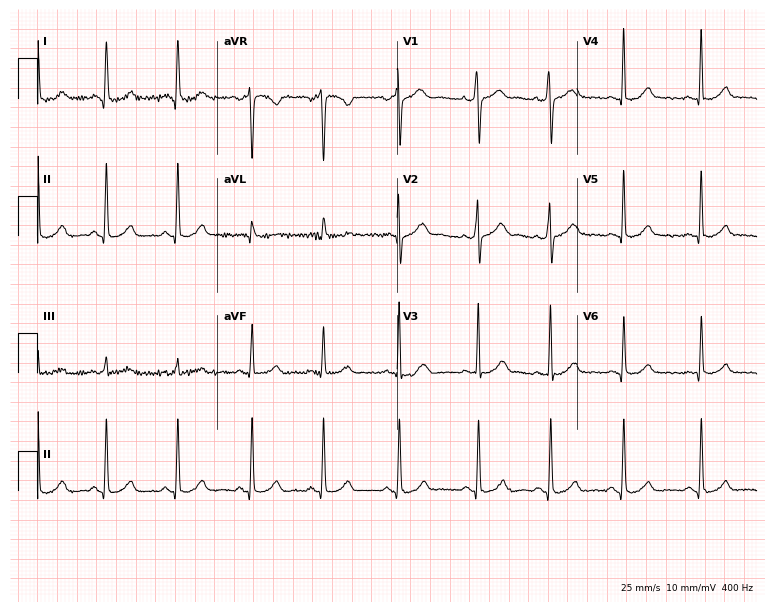
12-lead ECG (7.3-second recording at 400 Hz) from an 18-year-old female. Screened for six findings — first-degree AV block, right bundle branch block, left bundle branch block, sinus bradycardia, atrial fibrillation, sinus tachycardia — none is recorded. Other findings, if any, are not listed.